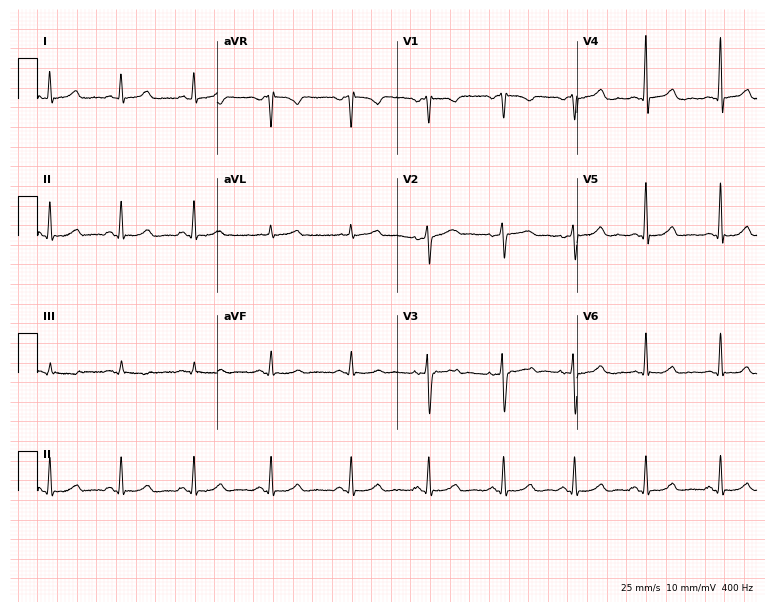
Electrocardiogram, a 43-year-old woman. Overall reading on record: normal ECG.